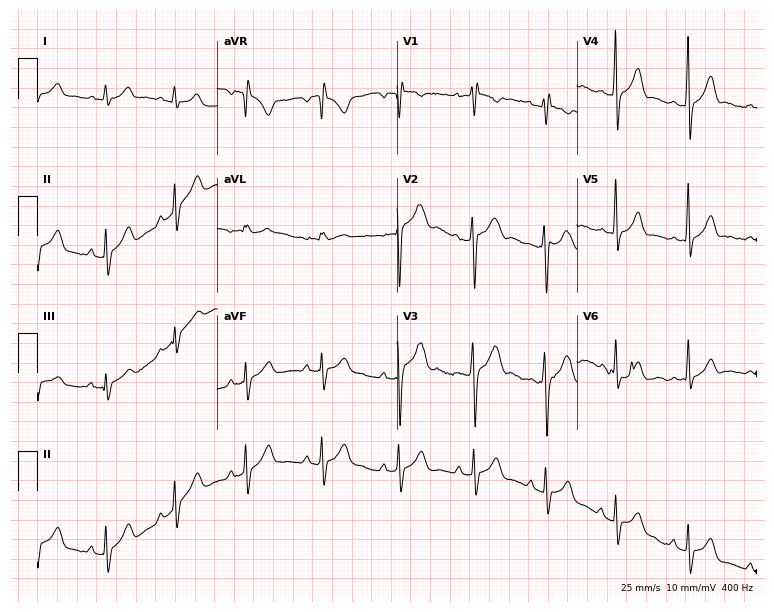
Standard 12-lead ECG recorded from a man, 18 years old. None of these six findings is recorded: first-degree AV block, right bundle branch block, left bundle branch block, sinus bradycardia, atrial fibrillation, sinus tachycardia. Findings outside these six are not listed.